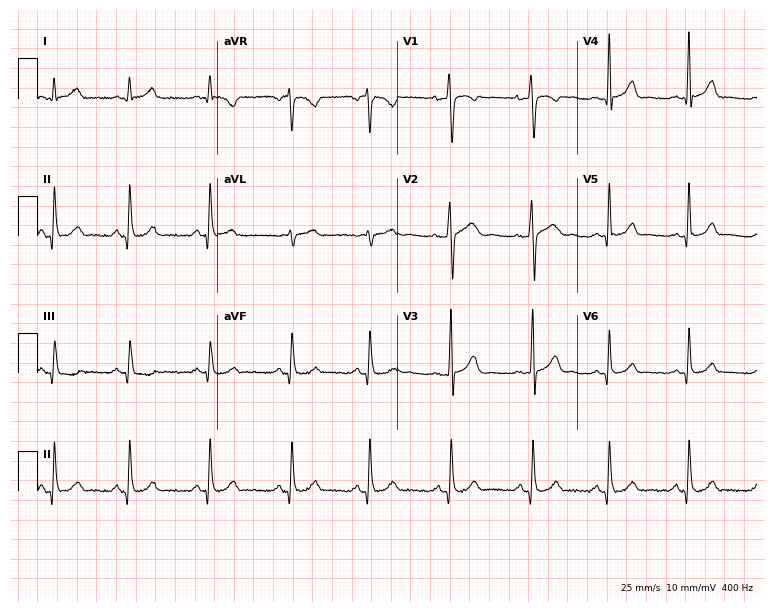
Standard 12-lead ECG recorded from a female, 26 years old (7.3-second recording at 400 Hz). None of these six findings is recorded: first-degree AV block, right bundle branch block, left bundle branch block, sinus bradycardia, atrial fibrillation, sinus tachycardia. Only these six findings were labelled.